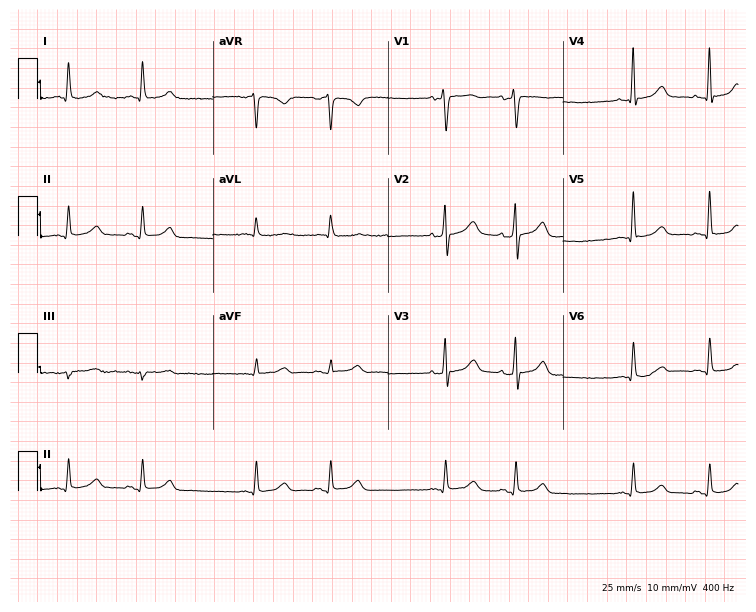
Electrocardiogram (7.1-second recording at 400 Hz), a 67-year-old man. Of the six screened findings (first-degree AV block, right bundle branch block, left bundle branch block, sinus bradycardia, atrial fibrillation, sinus tachycardia), none is recorded. Findings outside these six are not listed.